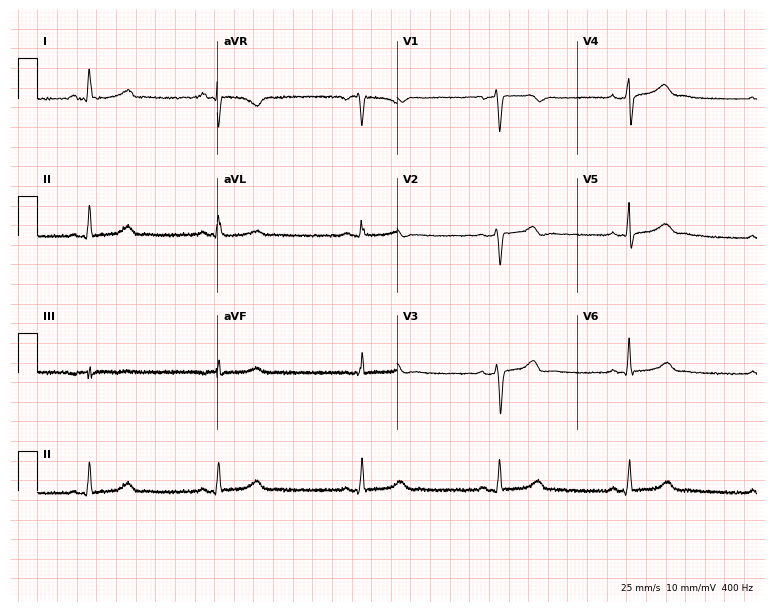
Electrocardiogram (7.3-second recording at 400 Hz), a female, 34 years old. Interpretation includes sinus bradycardia (a sinus rate of 50 beats per minute or less).